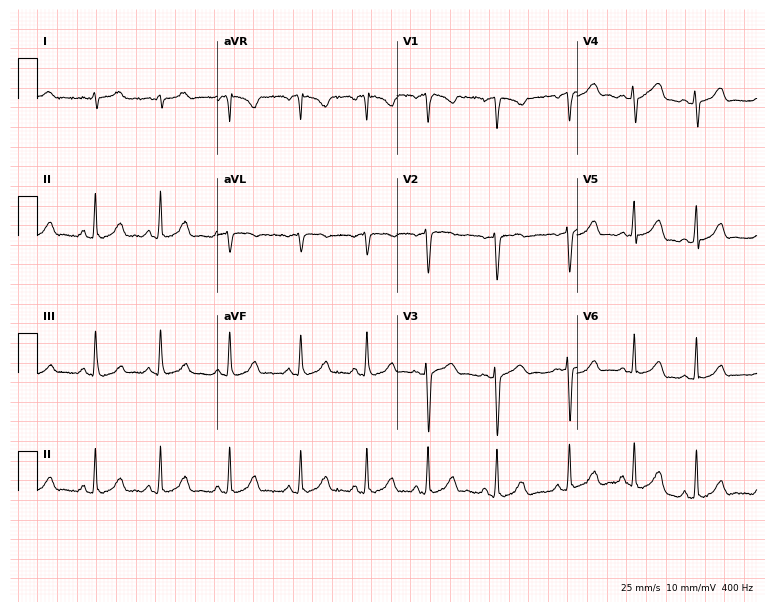
12-lead ECG (7.3-second recording at 400 Hz) from a female patient, 33 years old. Labelled as a normal ECG.